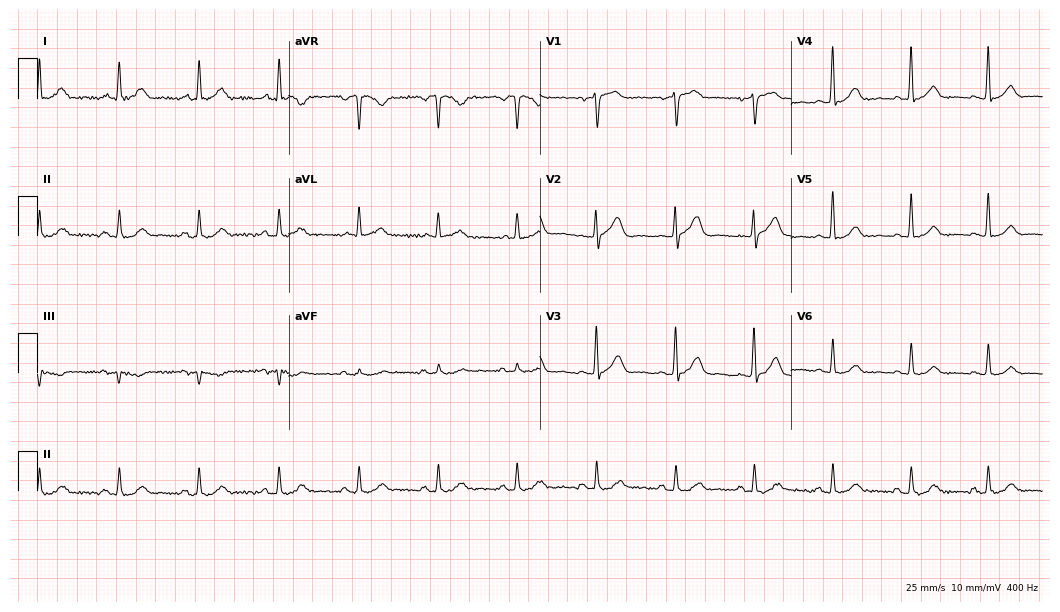
Resting 12-lead electrocardiogram (10.2-second recording at 400 Hz). Patient: a 68-year-old male. Read as a normal ECG.